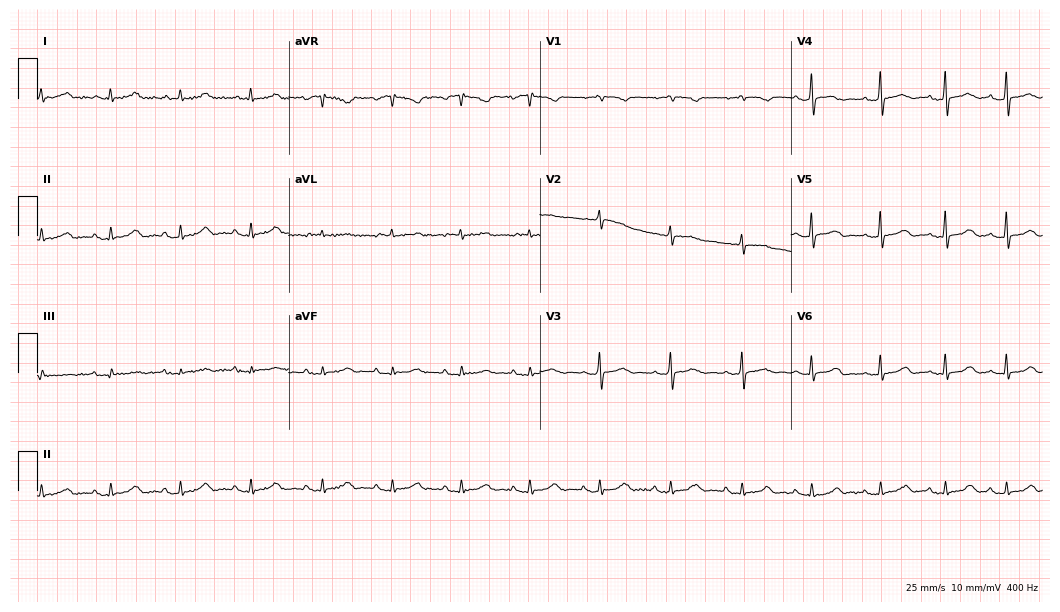
12-lead ECG from a woman, 77 years old. No first-degree AV block, right bundle branch block, left bundle branch block, sinus bradycardia, atrial fibrillation or sinus tachycardia recorded for this tracing. Findings outside these six are not listed.